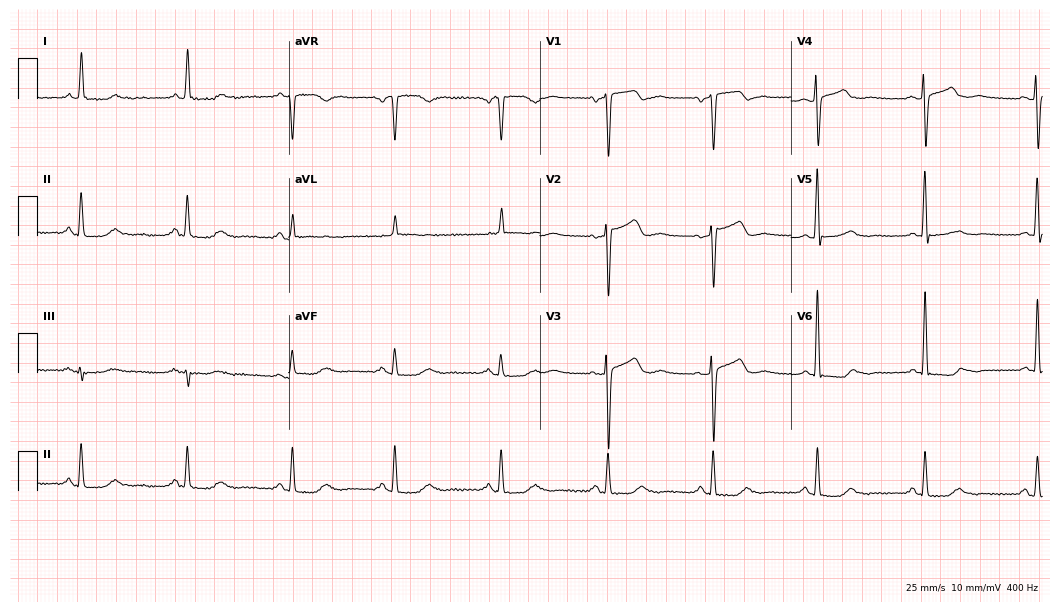
12-lead ECG (10.2-second recording at 400 Hz) from a female patient, 57 years old. Screened for six findings — first-degree AV block, right bundle branch block (RBBB), left bundle branch block (LBBB), sinus bradycardia, atrial fibrillation (AF), sinus tachycardia — none is recorded.